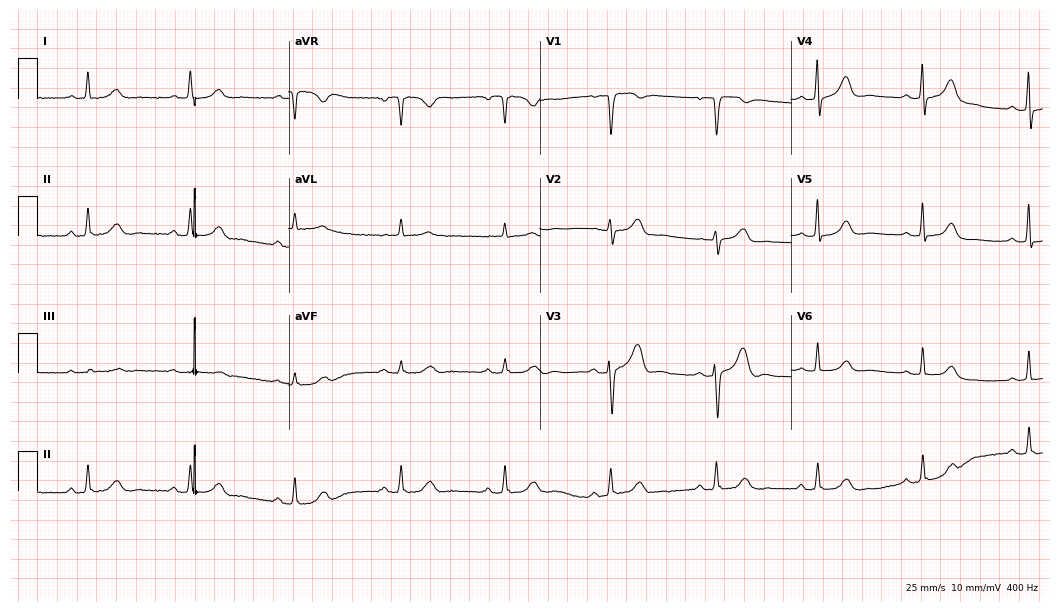
12-lead ECG from a 68-year-old female patient. Labelled as a normal ECG.